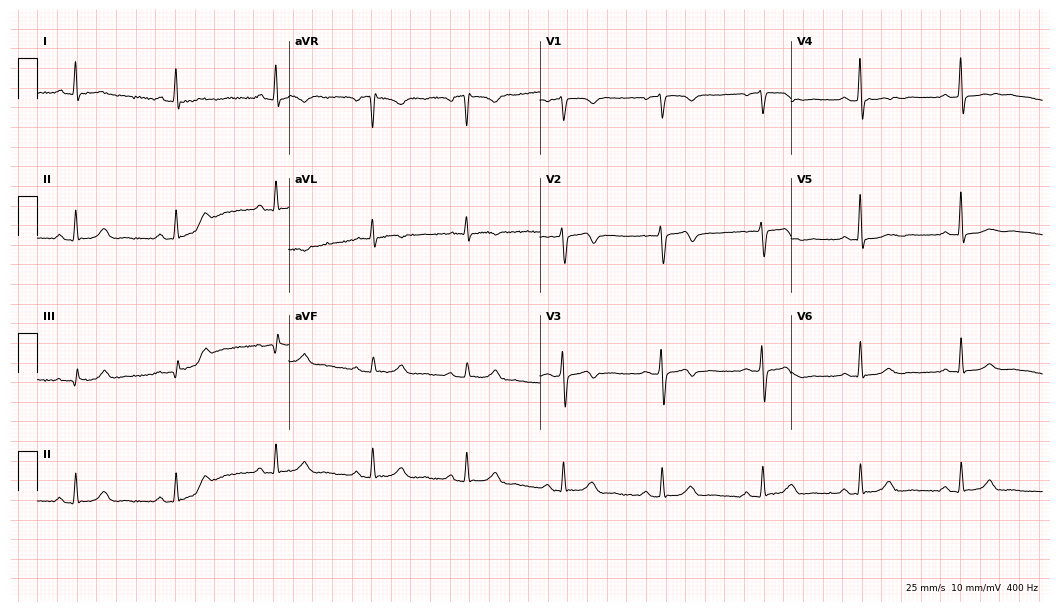
Resting 12-lead electrocardiogram (10.2-second recording at 400 Hz). Patient: a female, 46 years old. None of these six findings is recorded: first-degree AV block, right bundle branch block (RBBB), left bundle branch block (LBBB), sinus bradycardia, atrial fibrillation (AF), sinus tachycardia.